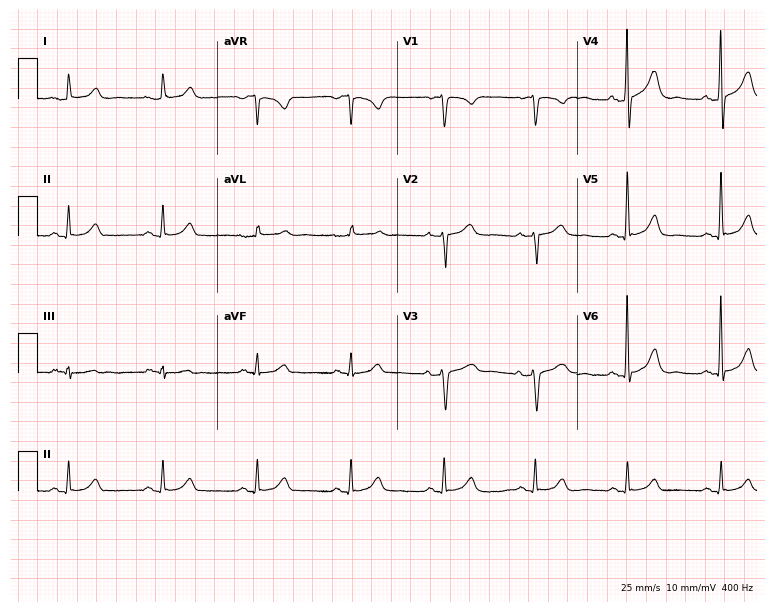
12-lead ECG (7.3-second recording at 400 Hz) from a 61-year-old male patient. Labelled as a normal ECG.